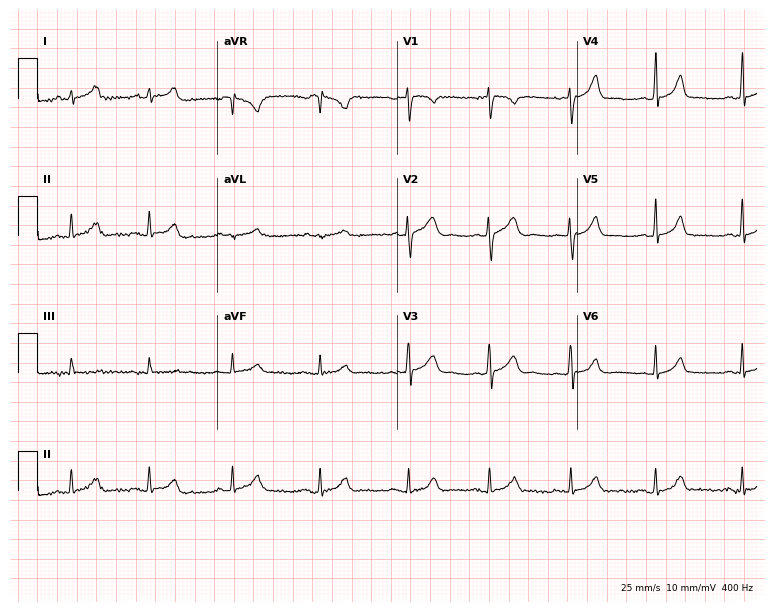
Resting 12-lead electrocardiogram (7.3-second recording at 400 Hz). Patient: a 17-year-old female. None of these six findings is recorded: first-degree AV block, right bundle branch block, left bundle branch block, sinus bradycardia, atrial fibrillation, sinus tachycardia. Findings outside these six are not listed.